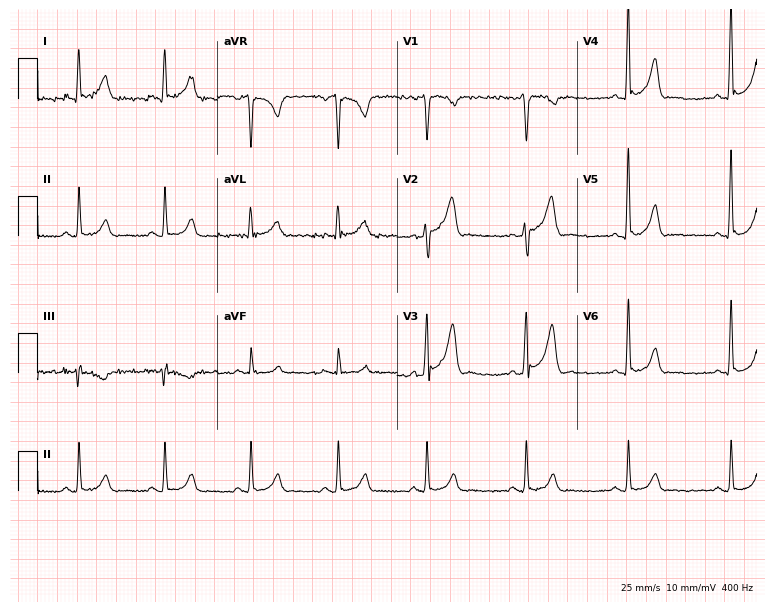
Resting 12-lead electrocardiogram. Patient: a man, 49 years old. Read as a normal ECG.